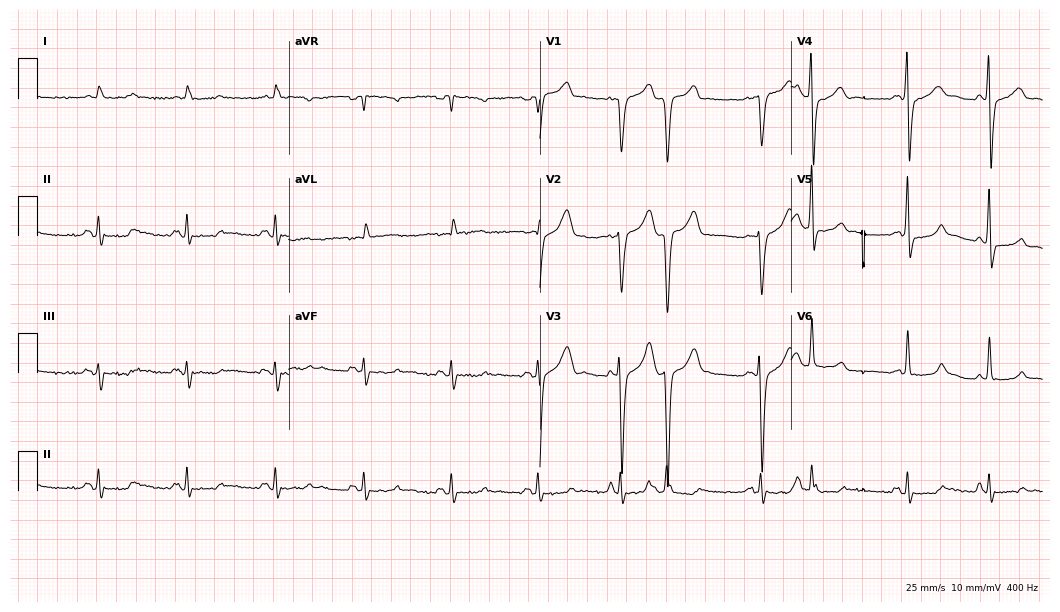
ECG — a 43-year-old man. Screened for six findings — first-degree AV block, right bundle branch block (RBBB), left bundle branch block (LBBB), sinus bradycardia, atrial fibrillation (AF), sinus tachycardia — none is recorded.